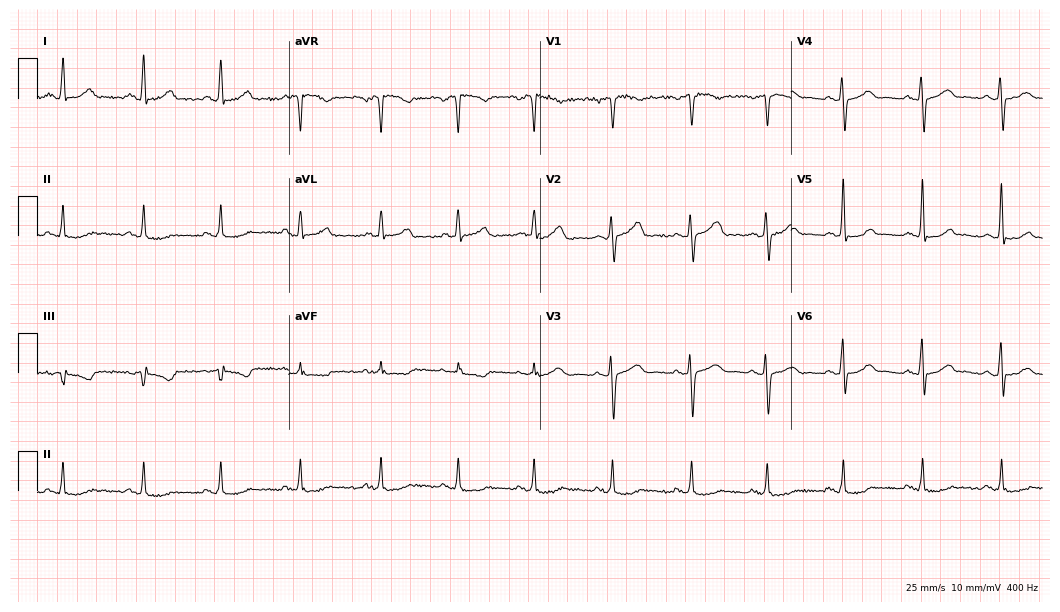
Electrocardiogram (10.2-second recording at 400 Hz), a female, 38 years old. Of the six screened findings (first-degree AV block, right bundle branch block (RBBB), left bundle branch block (LBBB), sinus bradycardia, atrial fibrillation (AF), sinus tachycardia), none is recorded. Other findings, if any, are not listed.